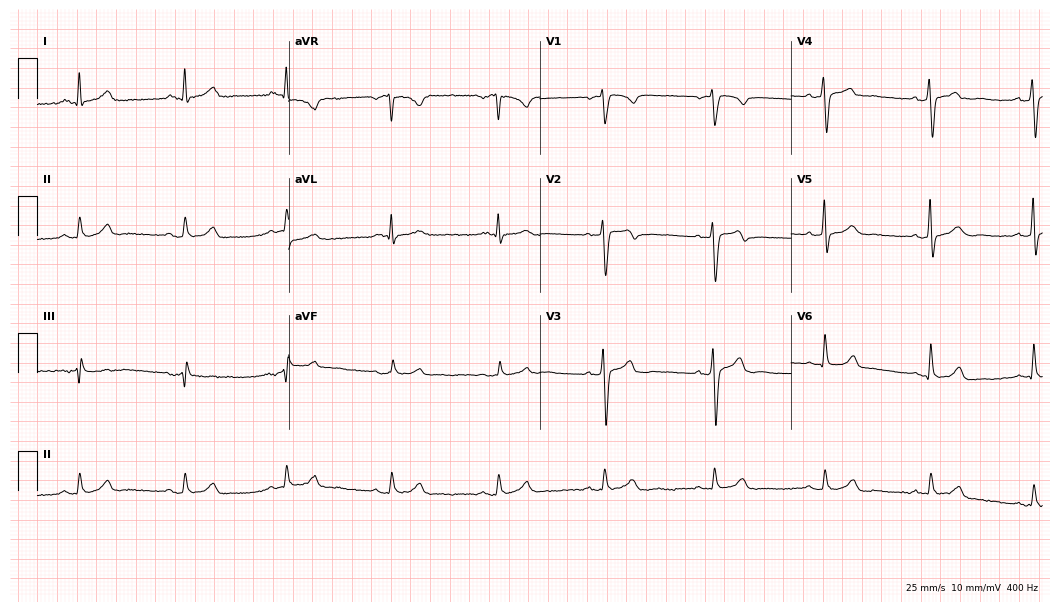
12-lead ECG from a man, 40 years old (10.2-second recording at 400 Hz). Recorded interpretation: within normal limits.